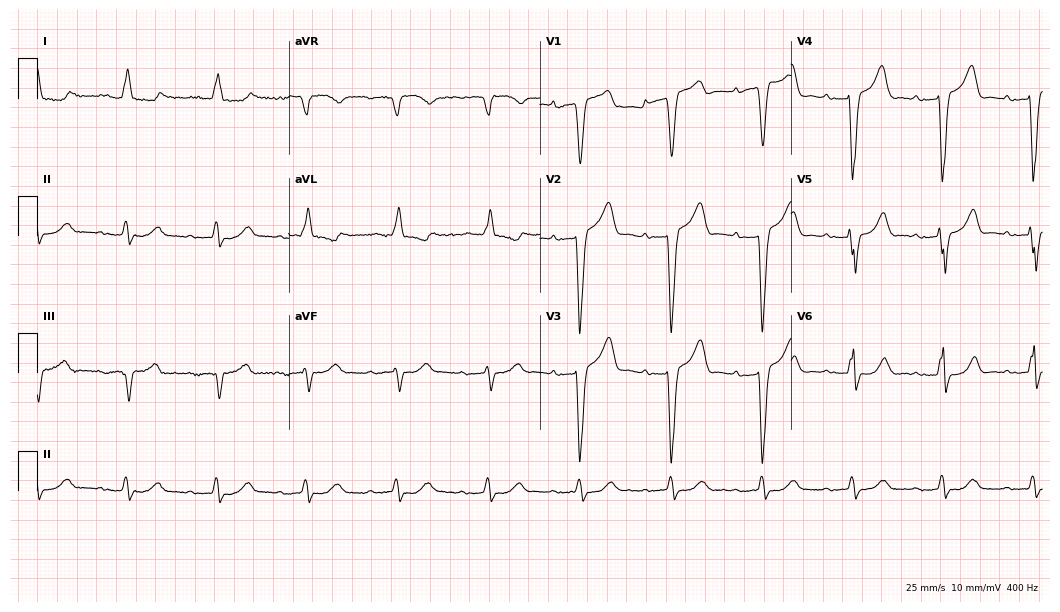
12-lead ECG from an 81-year-old male. Findings include first-degree AV block, left bundle branch block.